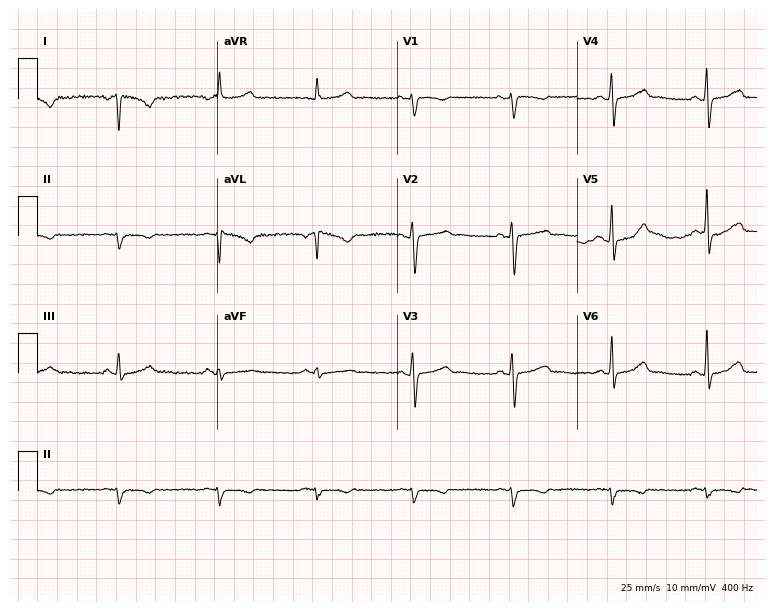
Electrocardiogram (7.3-second recording at 400 Hz), a woman, 40 years old. Of the six screened findings (first-degree AV block, right bundle branch block, left bundle branch block, sinus bradycardia, atrial fibrillation, sinus tachycardia), none is recorded. Other findings, if any, are not listed.